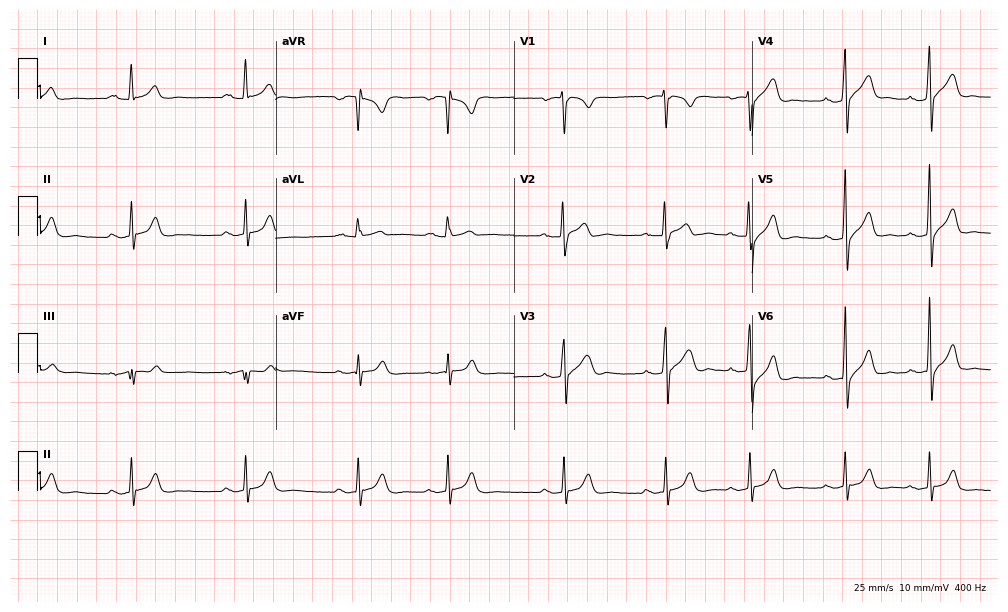
12-lead ECG from a man, 17 years old (9.7-second recording at 400 Hz). Recorded interpretation: within normal limits.